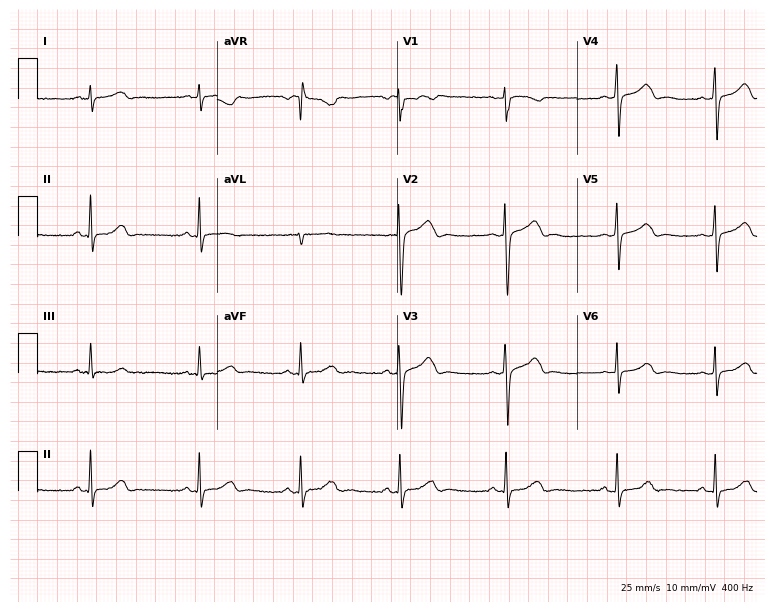
ECG (7.3-second recording at 400 Hz) — a female, 25 years old. Screened for six findings — first-degree AV block, right bundle branch block, left bundle branch block, sinus bradycardia, atrial fibrillation, sinus tachycardia — none is recorded. Findings outside these six are not listed.